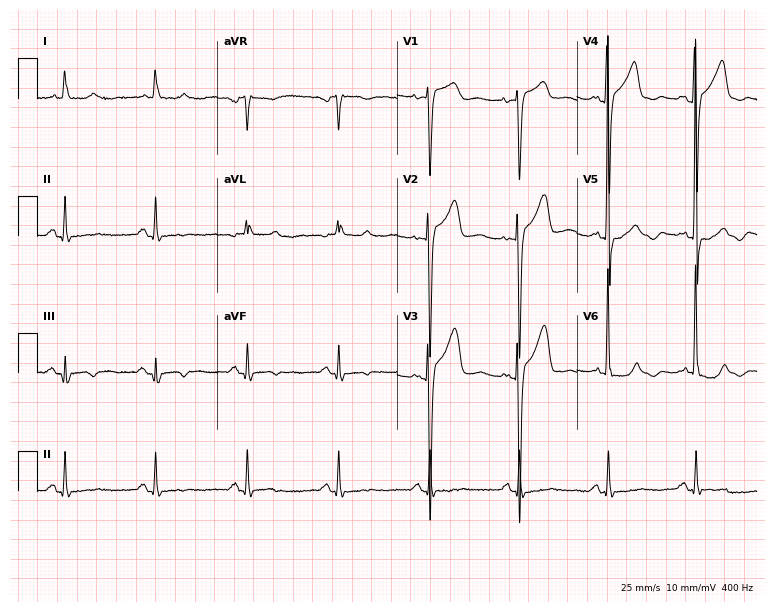
Standard 12-lead ECG recorded from an 80-year-old male patient. None of these six findings is recorded: first-degree AV block, right bundle branch block, left bundle branch block, sinus bradycardia, atrial fibrillation, sinus tachycardia. Other findings, if any, are not listed.